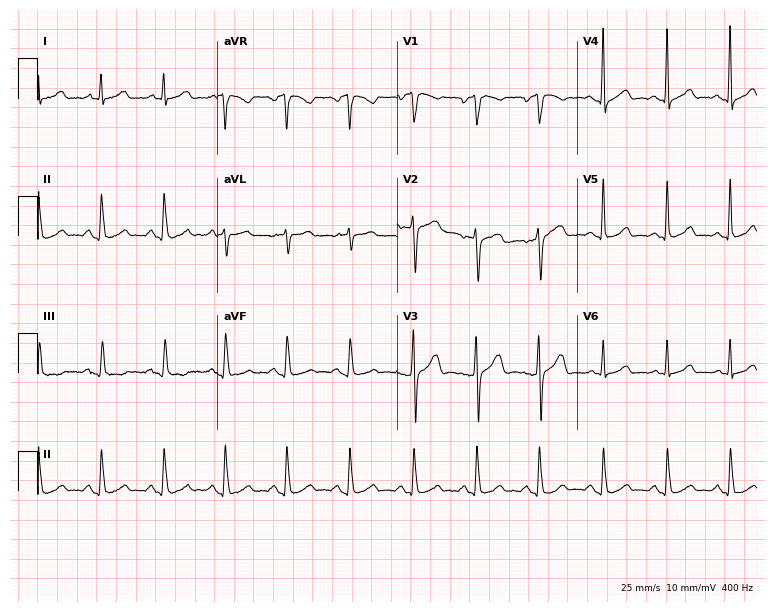
Electrocardiogram, a female, 56 years old. Overall reading on record: normal ECG.